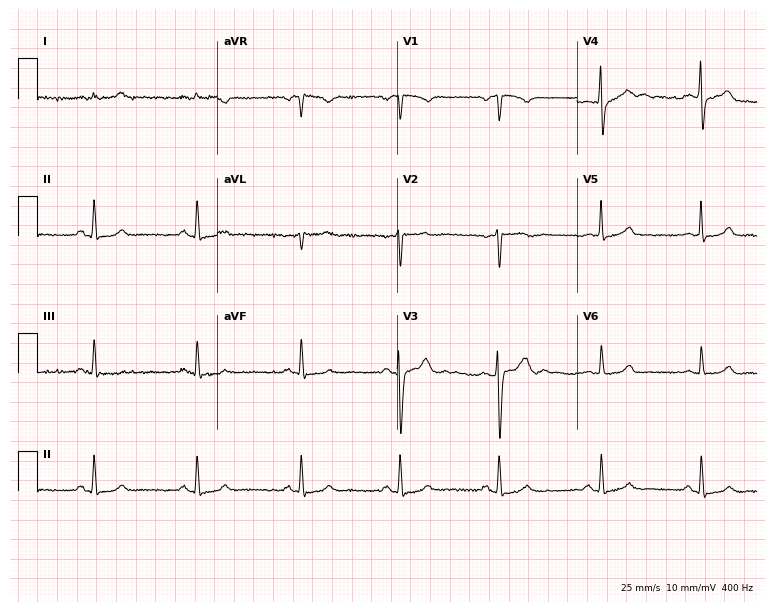
12-lead ECG (7.3-second recording at 400 Hz) from a man, 28 years old. Labelled as a normal ECG.